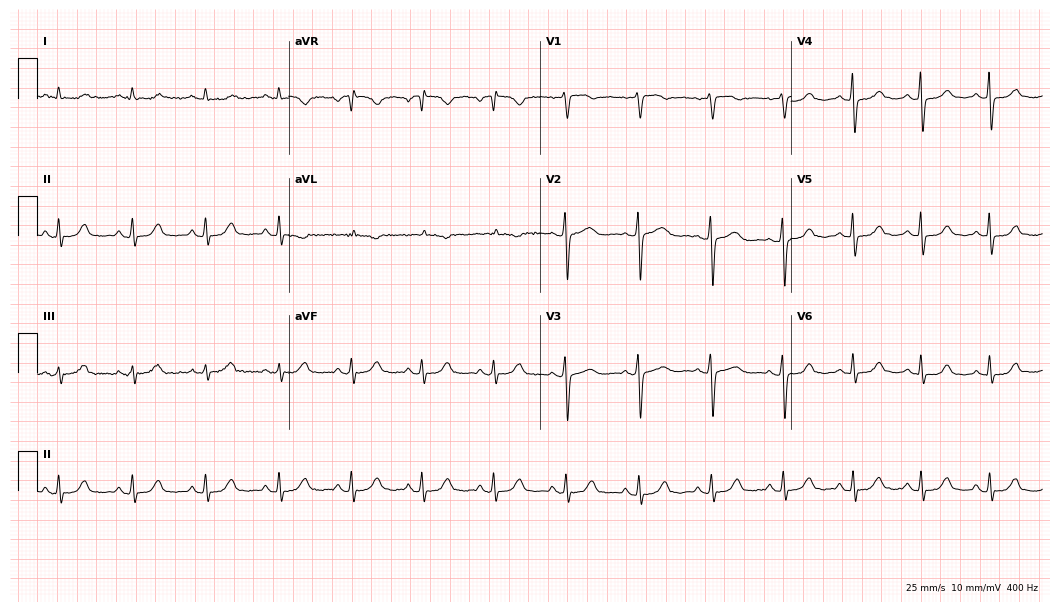
Electrocardiogram (10.2-second recording at 400 Hz), a female, 54 years old. Overall reading on record: normal ECG.